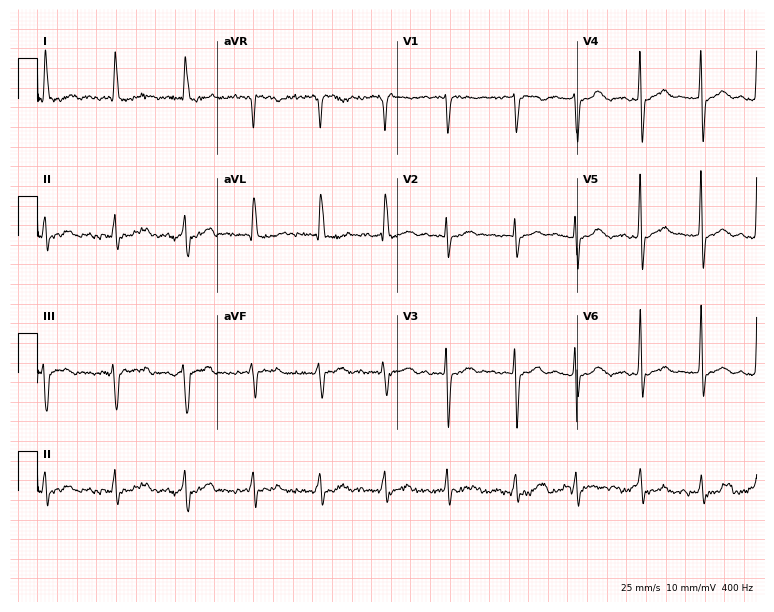
Standard 12-lead ECG recorded from a 76-year-old female patient. The tracing shows atrial fibrillation (AF).